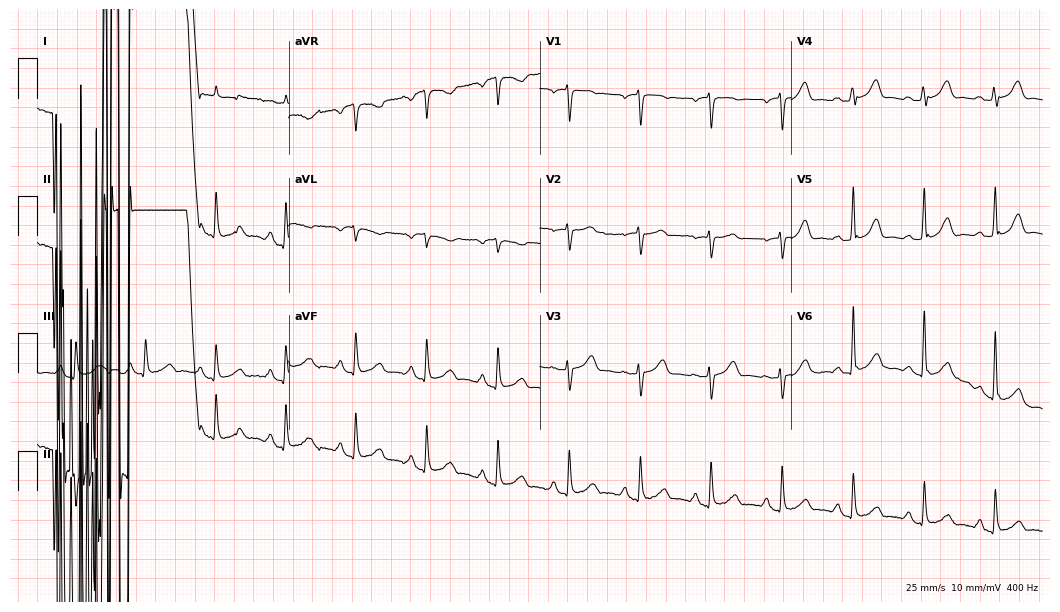
Resting 12-lead electrocardiogram. Patient: a man, 84 years old. None of these six findings is recorded: first-degree AV block, right bundle branch block, left bundle branch block, sinus bradycardia, atrial fibrillation, sinus tachycardia. Other findings, if any, are not listed.